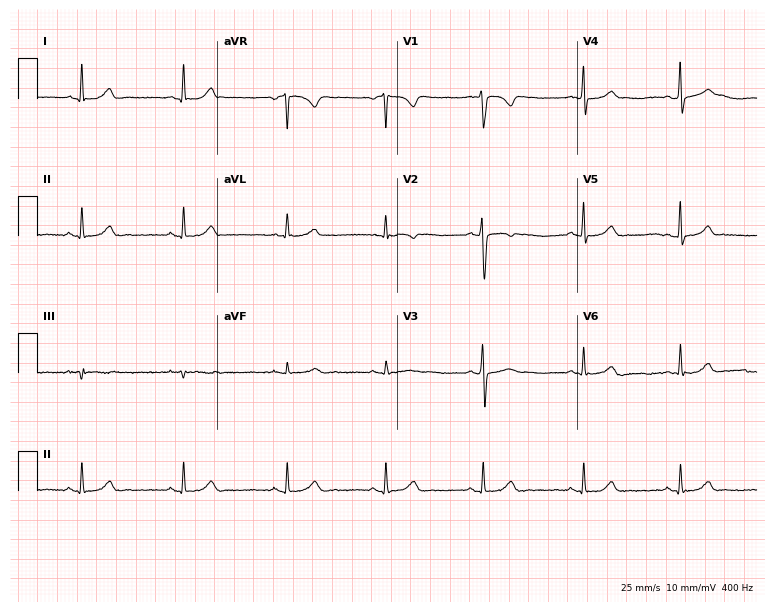
Standard 12-lead ECG recorded from a 23-year-old female. Read as a normal ECG.